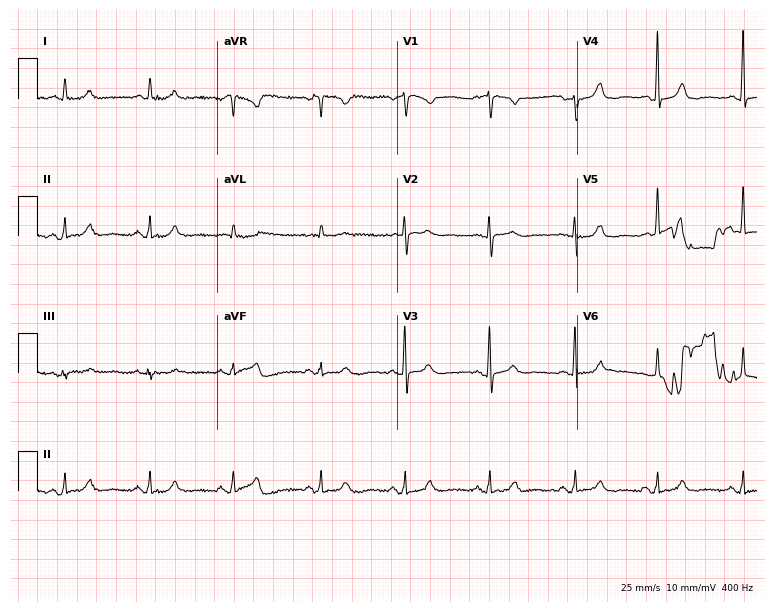
Electrocardiogram (7.3-second recording at 400 Hz), a female patient, 73 years old. Overall reading on record: normal ECG.